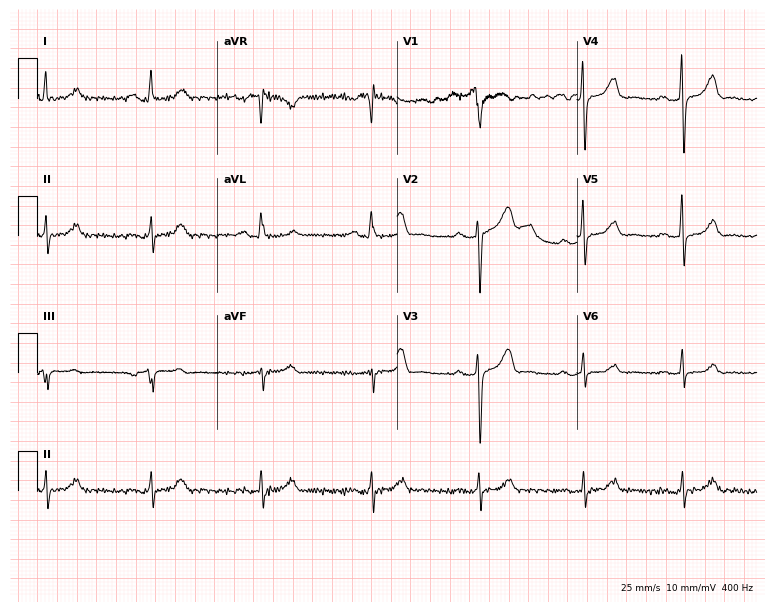
Electrocardiogram, a man, 42 years old. Of the six screened findings (first-degree AV block, right bundle branch block, left bundle branch block, sinus bradycardia, atrial fibrillation, sinus tachycardia), none is recorded.